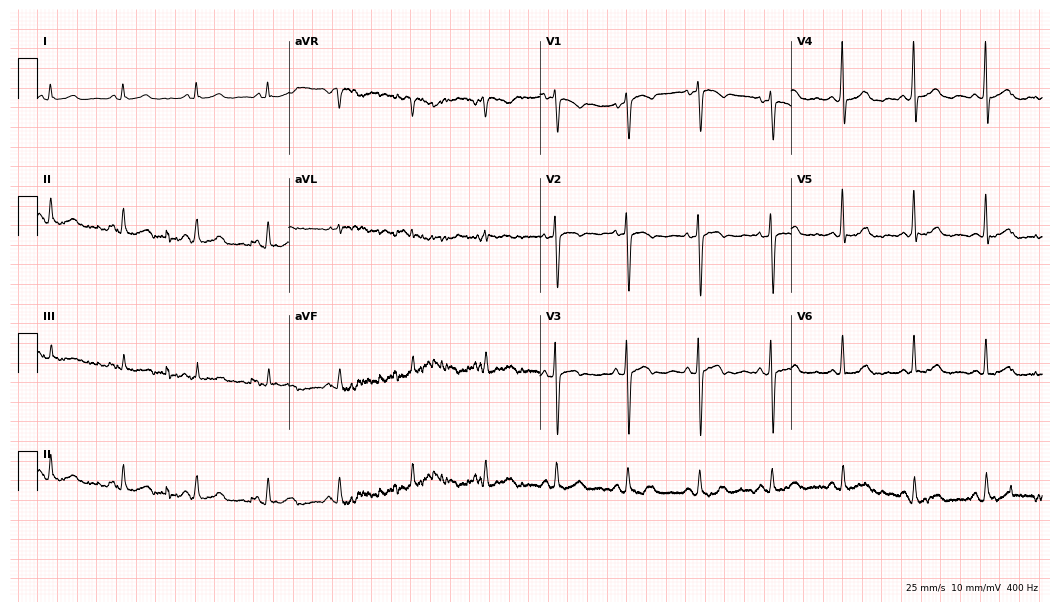
ECG — a 56-year-old female. Labelled as a normal ECG.